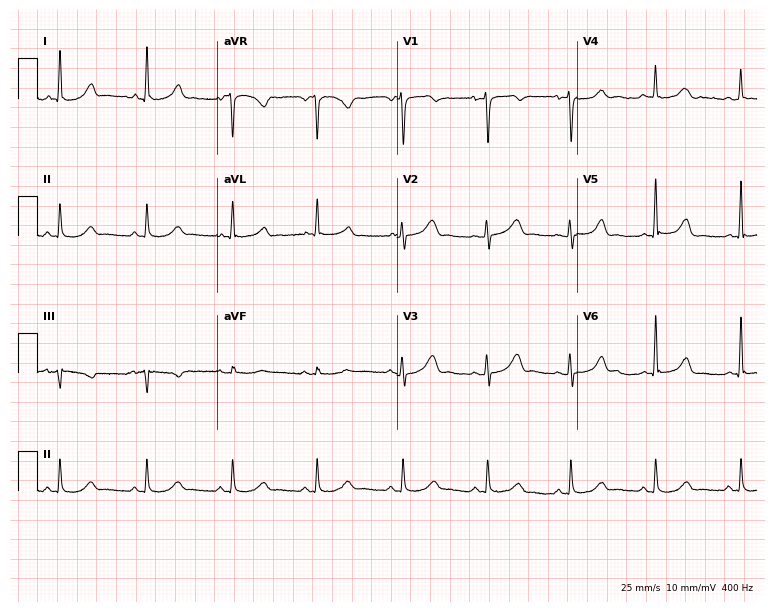
12-lead ECG from a woman, 47 years old (7.3-second recording at 400 Hz). Recorded interpretation: within normal limits.